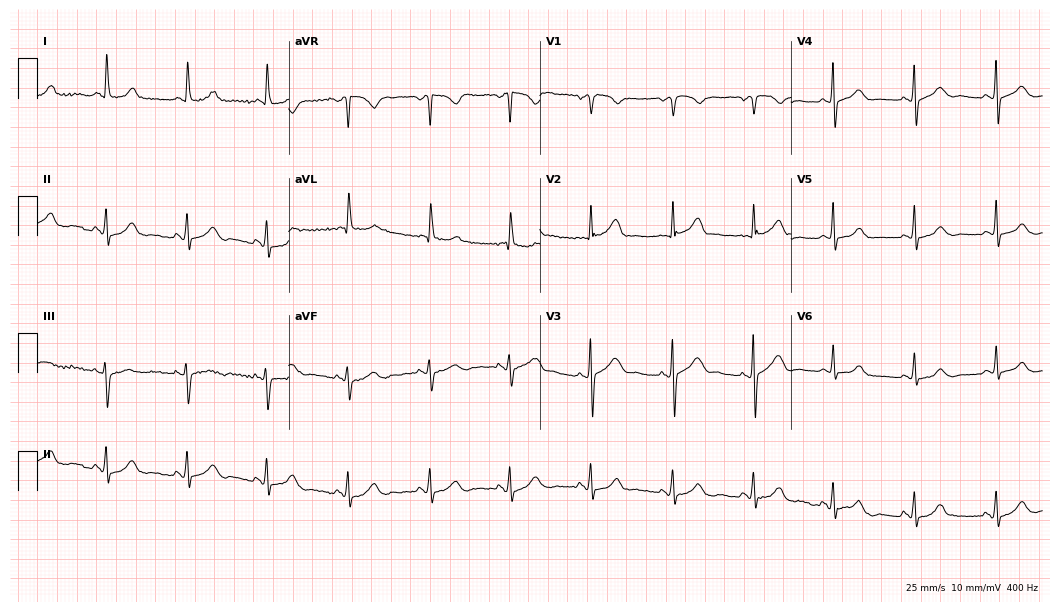
12-lead ECG from a 60-year-old female patient. Labelled as a normal ECG.